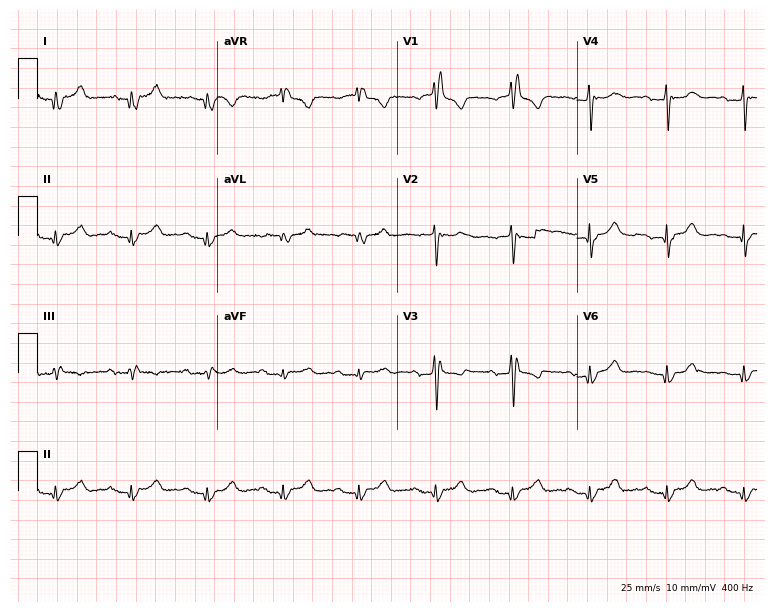
Standard 12-lead ECG recorded from an 83-year-old male. The tracing shows right bundle branch block (RBBB).